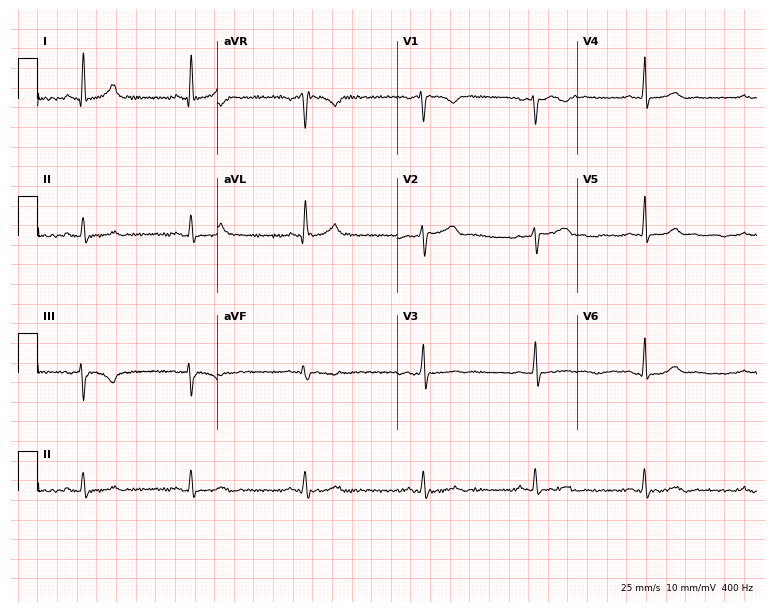
12-lead ECG from a female patient, 54 years old (7.3-second recording at 400 Hz). No first-degree AV block, right bundle branch block (RBBB), left bundle branch block (LBBB), sinus bradycardia, atrial fibrillation (AF) or sinus tachycardia recorded for this tracing. Other findings, if any, are not listed.